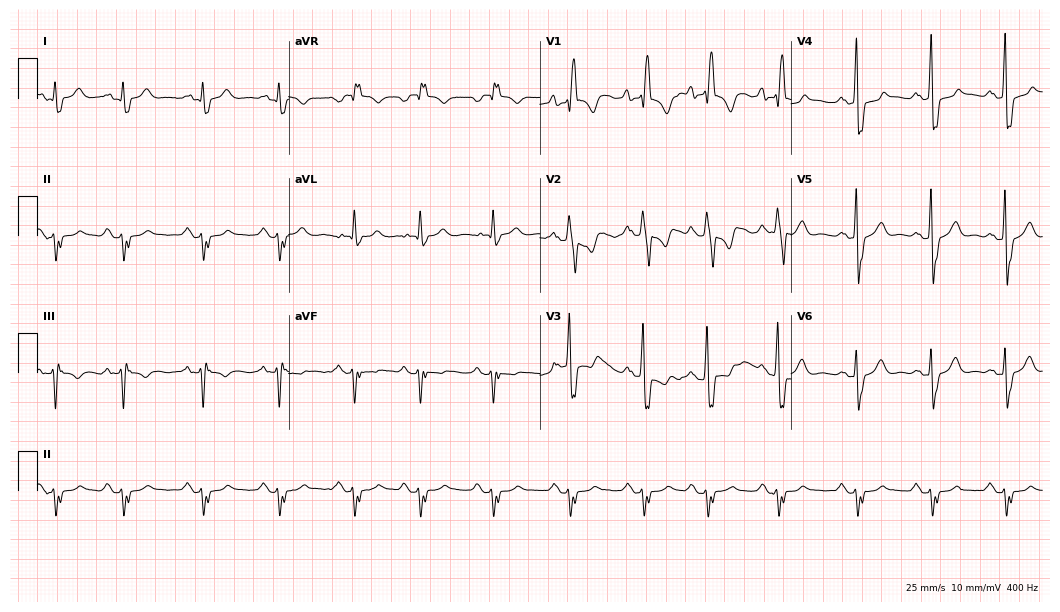
Electrocardiogram, a 66-year-old man. Of the six screened findings (first-degree AV block, right bundle branch block (RBBB), left bundle branch block (LBBB), sinus bradycardia, atrial fibrillation (AF), sinus tachycardia), none is recorded. Other findings, if any, are not listed.